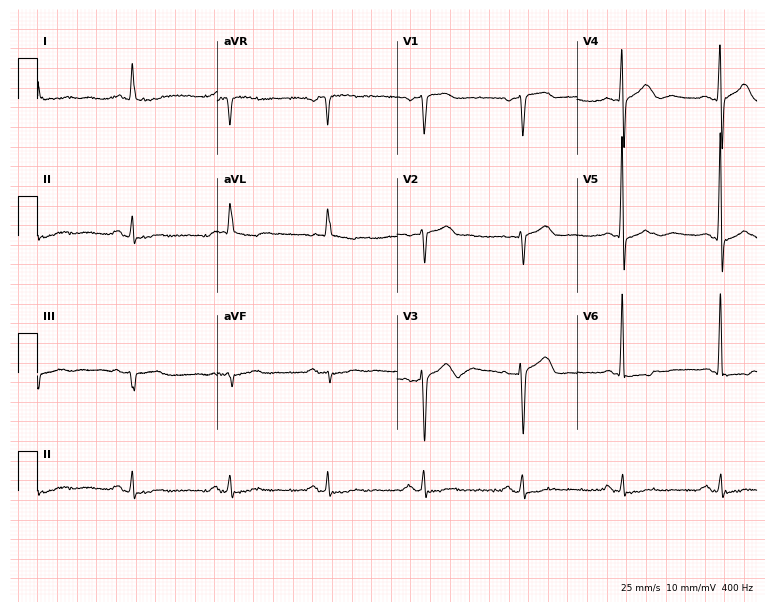
Standard 12-lead ECG recorded from a female patient, 73 years old (7.3-second recording at 400 Hz). None of these six findings is recorded: first-degree AV block, right bundle branch block (RBBB), left bundle branch block (LBBB), sinus bradycardia, atrial fibrillation (AF), sinus tachycardia.